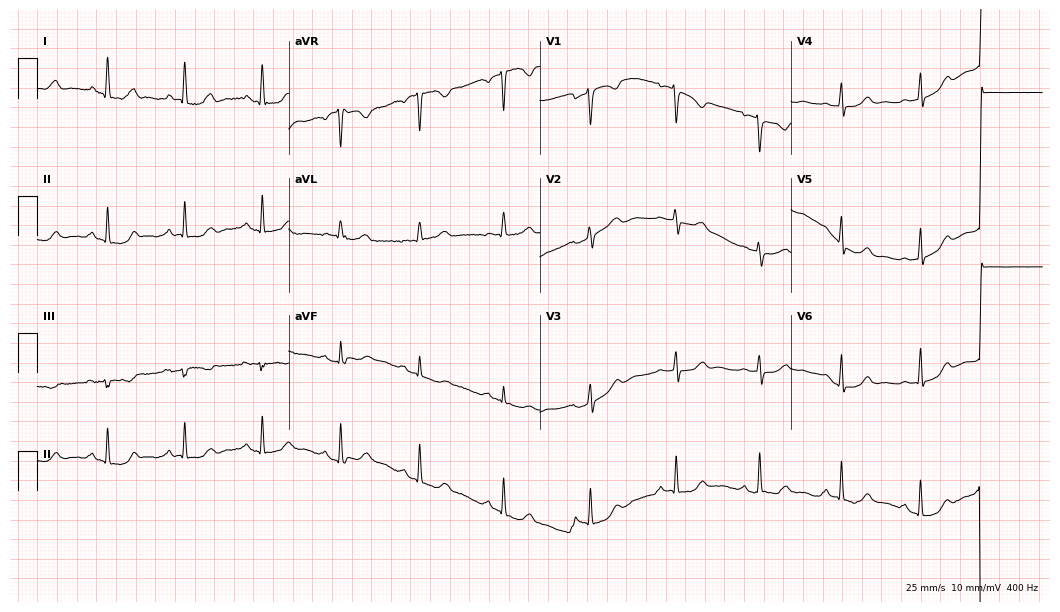
Resting 12-lead electrocardiogram. Patient: a 58-year-old female. Read as a normal ECG.